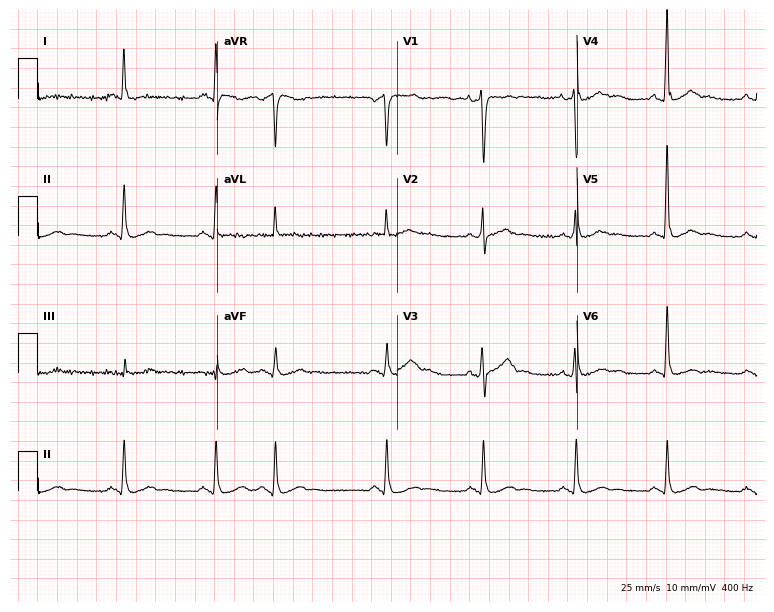
Electrocardiogram (7.3-second recording at 400 Hz), a man, 68 years old. Overall reading on record: normal ECG.